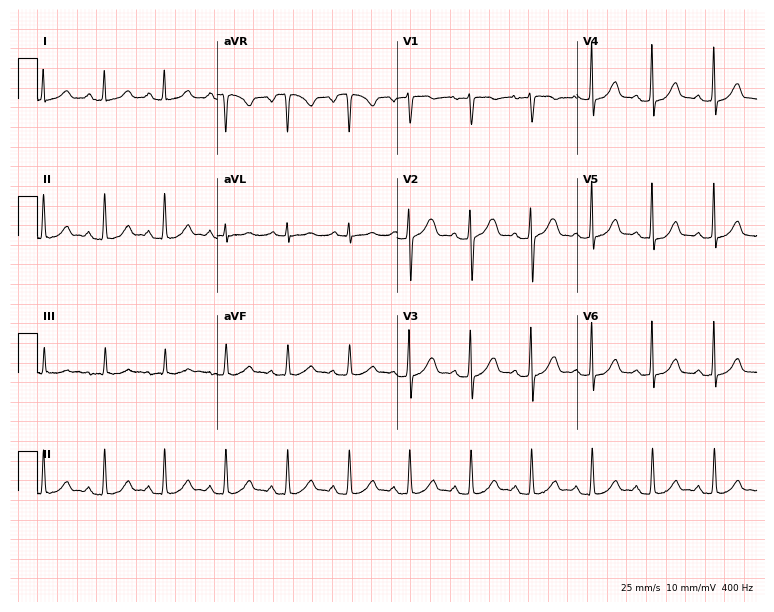
ECG — a female patient, 27 years old. Labelled as a normal ECG.